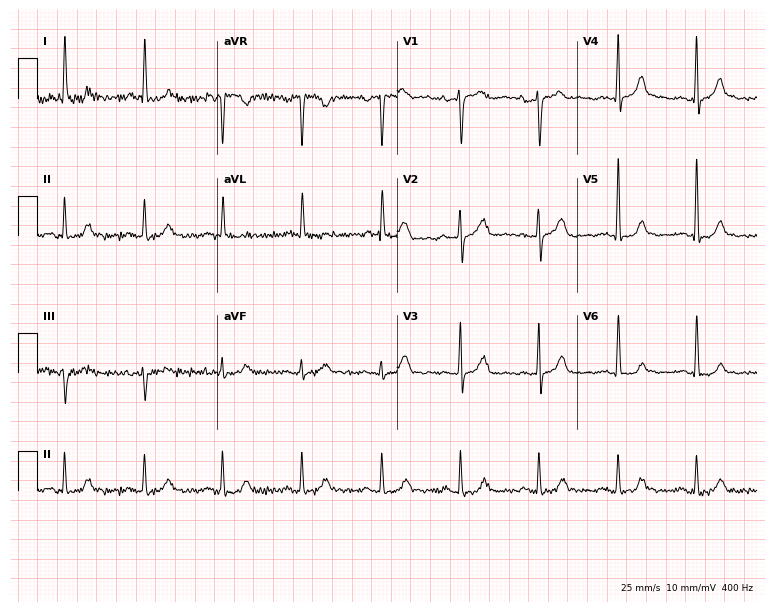
Electrocardiogram (7.3-second recording at 400 Hz), a female, 78 years old. Overall reading on record: normal ECG.